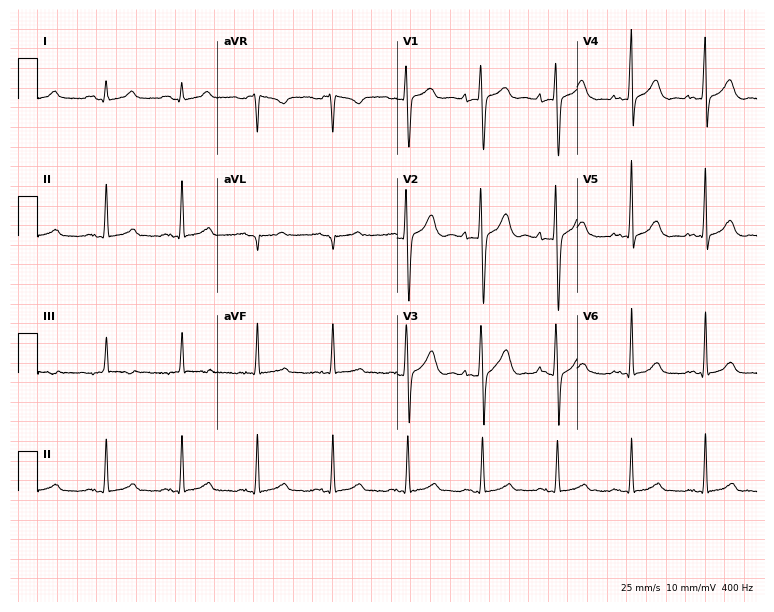
Resting 12-lead electrocardiogram. Patient: a 22-year-old female. Read as a normal ECG.